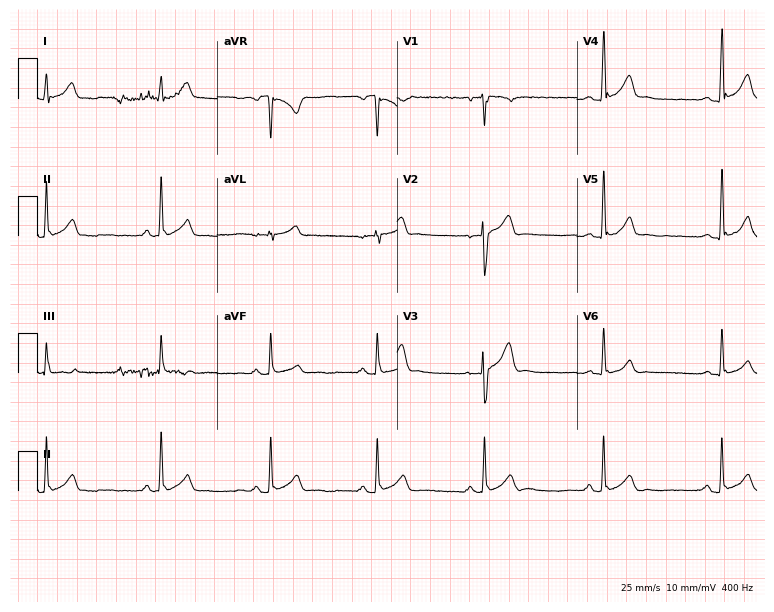
Electrocardiogram (7.3-second recording at 400 Hz), a 28-year-old man. Overall reading on record: normal ECG.